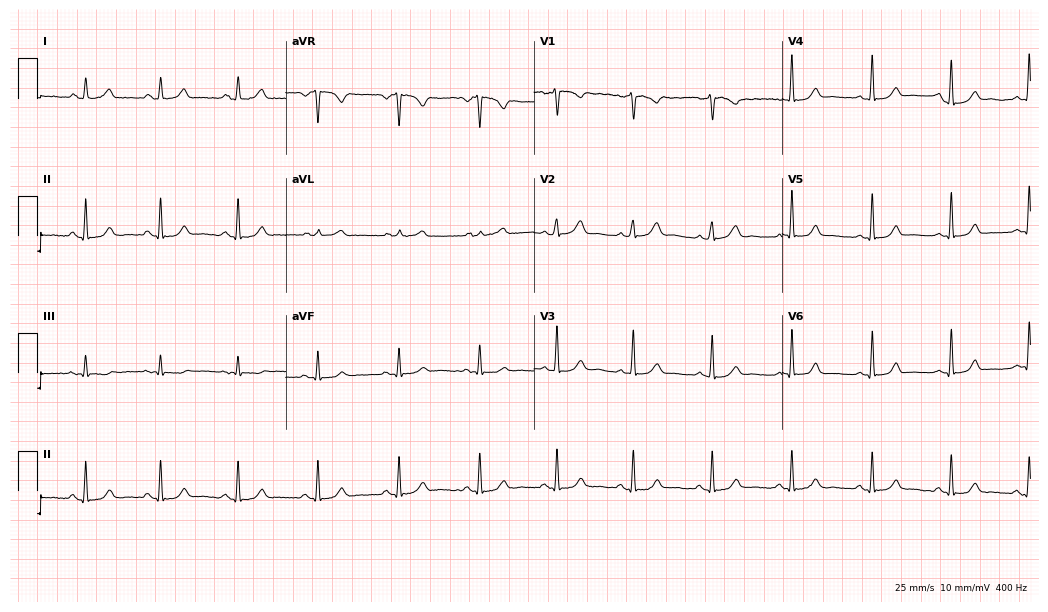
Electrocardiogram, a 28-year-old female. Of the six screened findings (first-degree AV block, right bundle branch block, left bundle branch block, sinus bradycardia, atrial fibrillation, sinus tachycardia), none is recorded. Only these six findings were labelled.